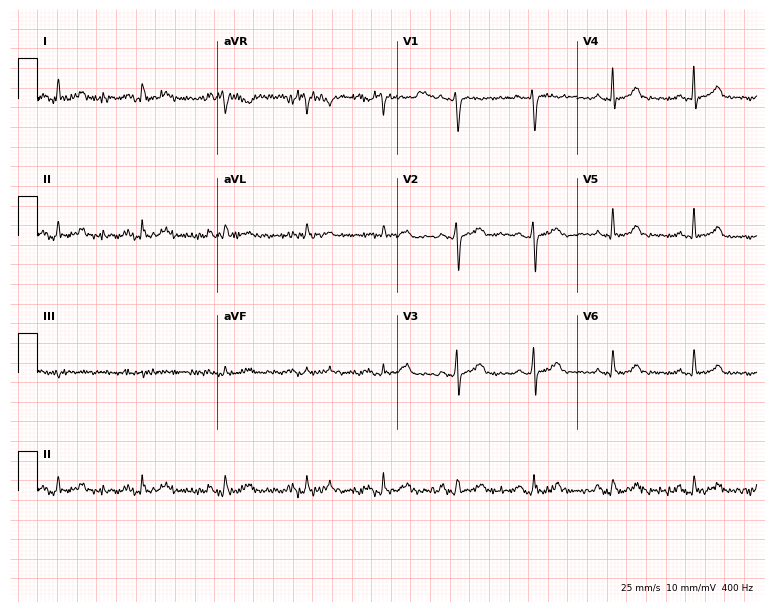
Resting 12-lead electrocardiogram. Patient: a 46-year-old male. None of these six findings is recorded: first-degree AV block, right bundle branch block, left bundle branch block, sinus bradycardia, atrial fibrillation, sinus tachycardia. Other findings, if any, are not listed.